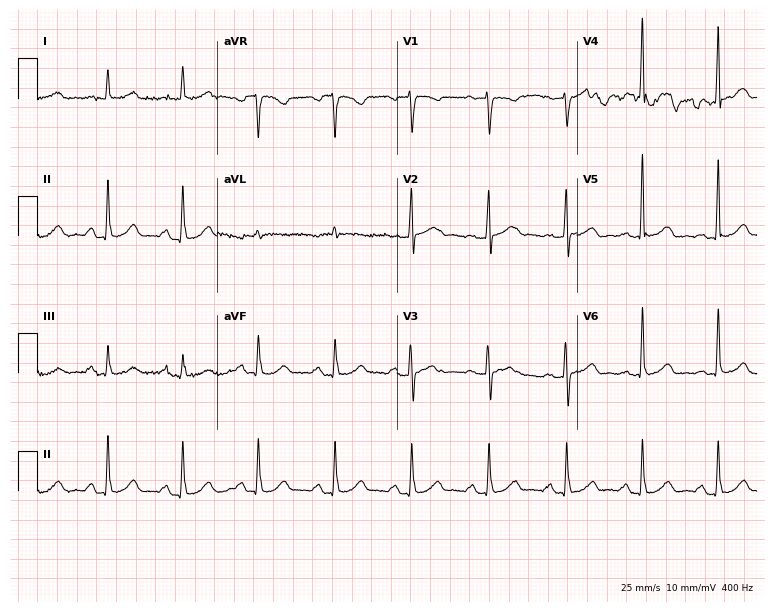
ECG — a 68-year-old female. Labelled as a normal ECG.